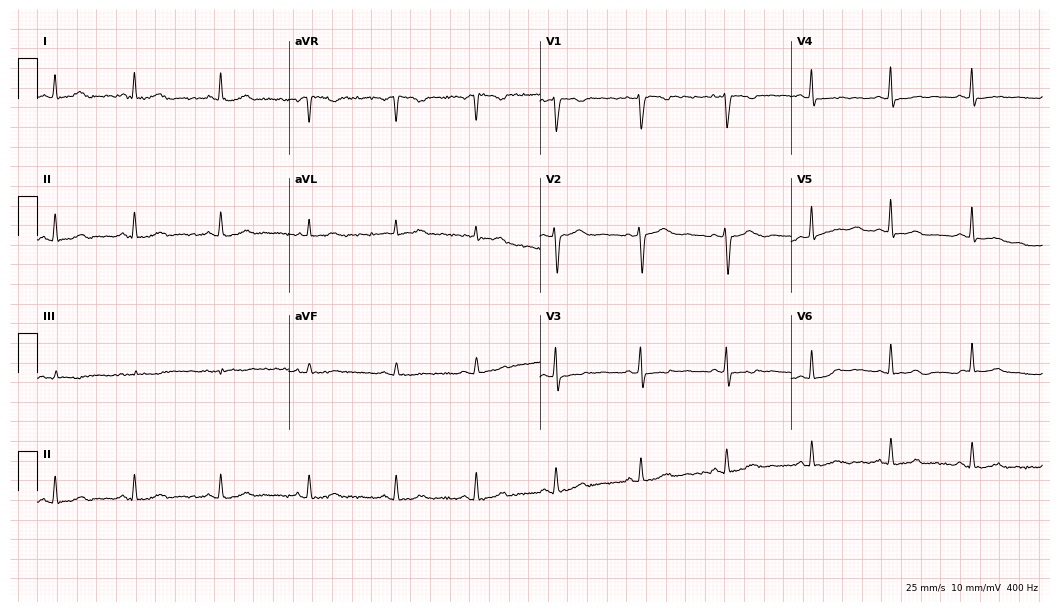
12-lead ECG from a female patient, 45 years old (10.2-second recording at 400 Hz). No first-degree AV block, right bundle branch block, left bundle branch block, sinus bradycardia, atrial fibrillation or sinus tachycardia recorded for this tracing. Only these six findings were labelled.